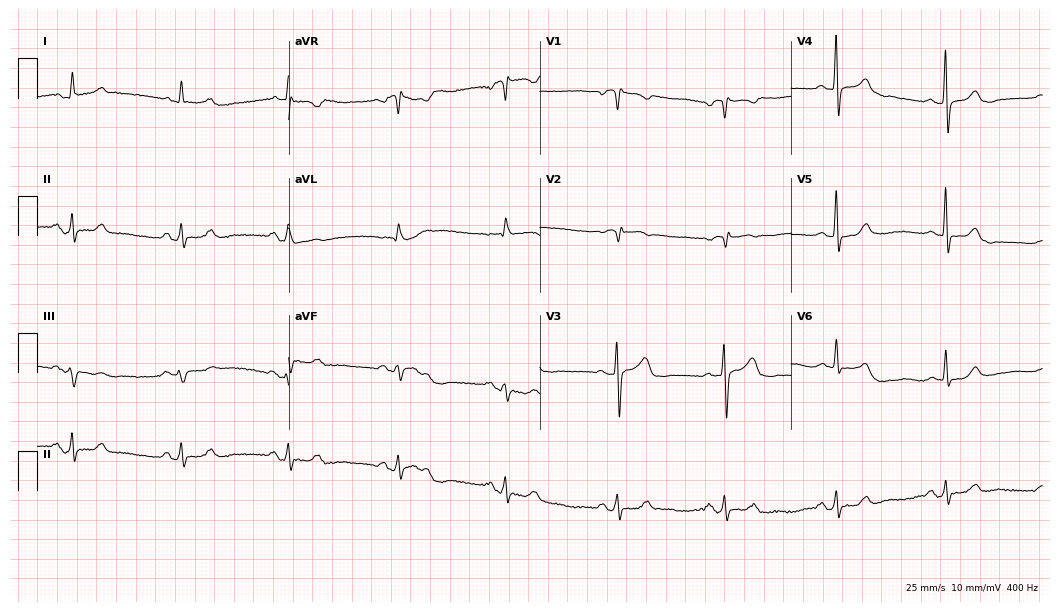
Electrocardiogram (10.2-second recording at 400 Hz), a 70-year-old female. Of the six screened findings (first-degree AV block, right bundle branch block, left bundle branch block, sinus bradycardia, atrial fibrillation, sinus tachycardia), none is recorded. Findings outside these six are not listed.